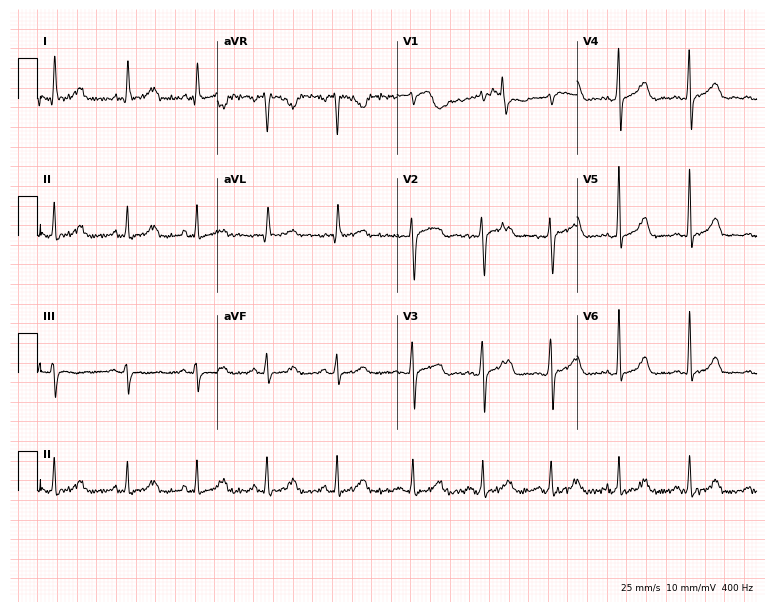
Standard 12-lead ECG recorded from a female patient, 35 years old. Read as a normal ECG.